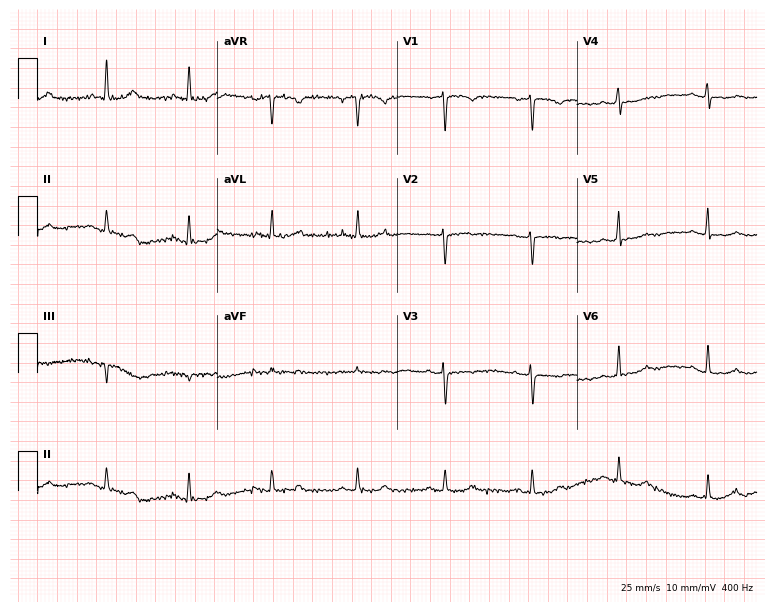
Electrocardiogram (7.3-second recording at 400 Hz), a female patient, 63 years old. Of the six screened findings (first-degree AV block, right bundle branch block, left bundle branch block, sinus bradycardia, atrial fibrillation, sinus tachycardia), none is recorded.